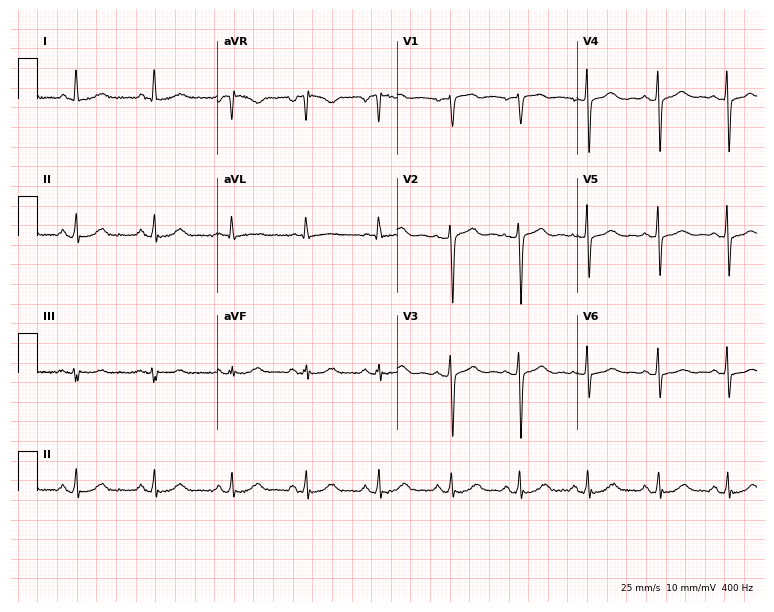
12-lead ECG from a woman, 55 years old. Screened for six findings — first-degree AV block, right bundle branch block, left bundle branch block, sinus bradycardia, atrial fibrillation, sinus tachycardia — none is recorded.